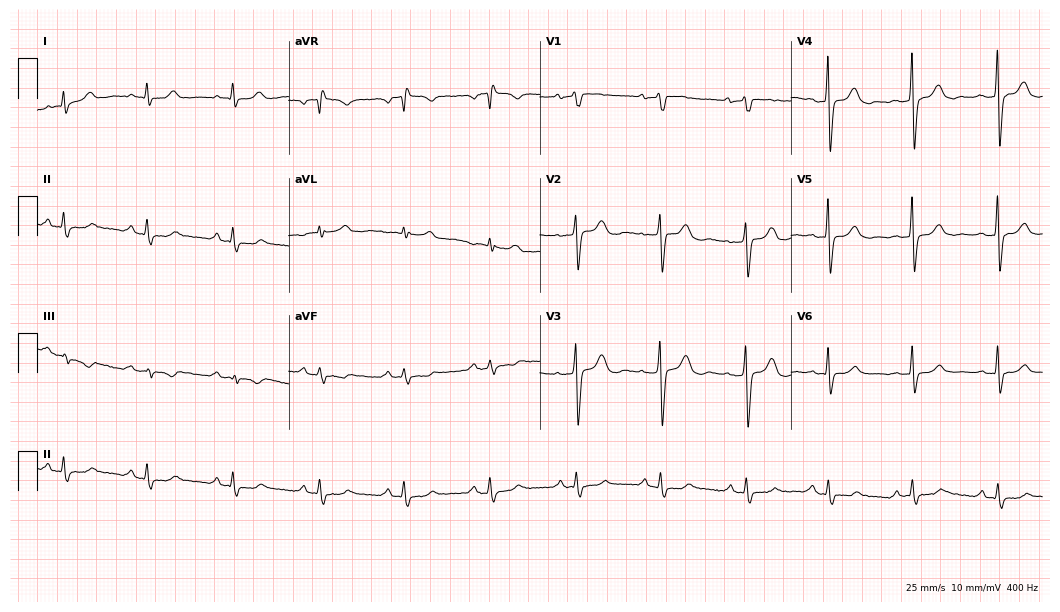
12-lead ECG from a 37-year-old female patient. No first-degree AV block, right bundle branch block, left bundle branch block, sinus bradycardia, atrial fibrillation or sinus tachycardia recorded for this tracing. Other findings, if any, are not listed.